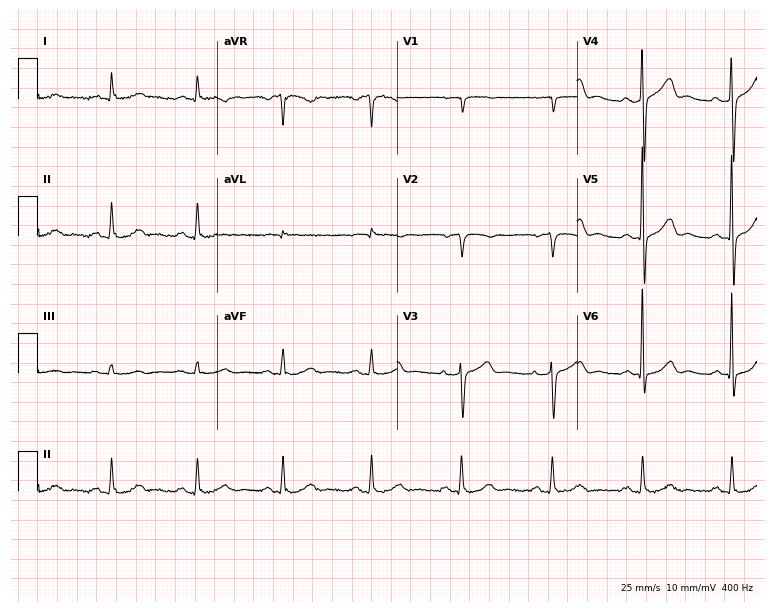
12-lead ECG (7.3-second recording at 400 Hz) from a male patient, 65 years old. Screened for six findings — first-degree AV block, right bundle branch block, left bundle branch block, sinus bradycardia, atrial fibrillation, sinus tachycardia — none is recorded. Other findings, if any, are not listed.